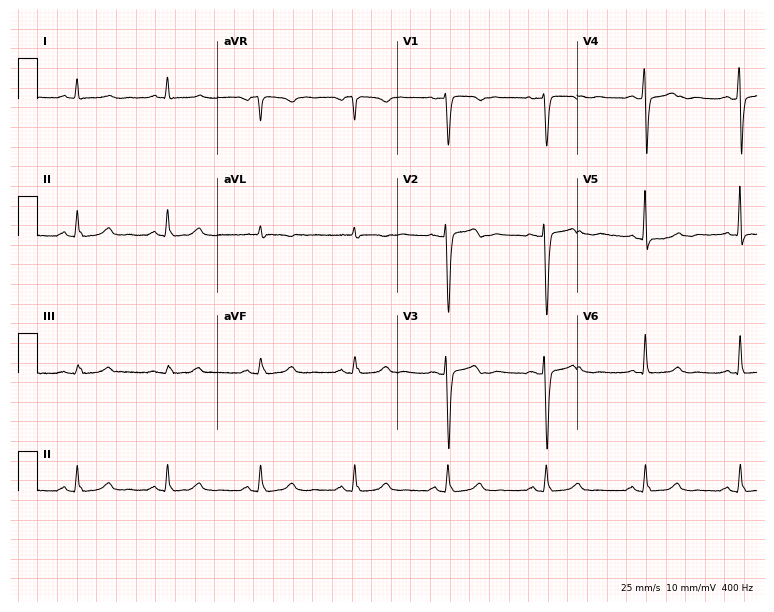
Electrocardiogram, a female, 42 years old. Of the six screened findings (first-degree AV block, right bundle branch block, left bundle branch block, sinus bradycardia, atrial fibrillation, sinus tachycardia), none is recorded.